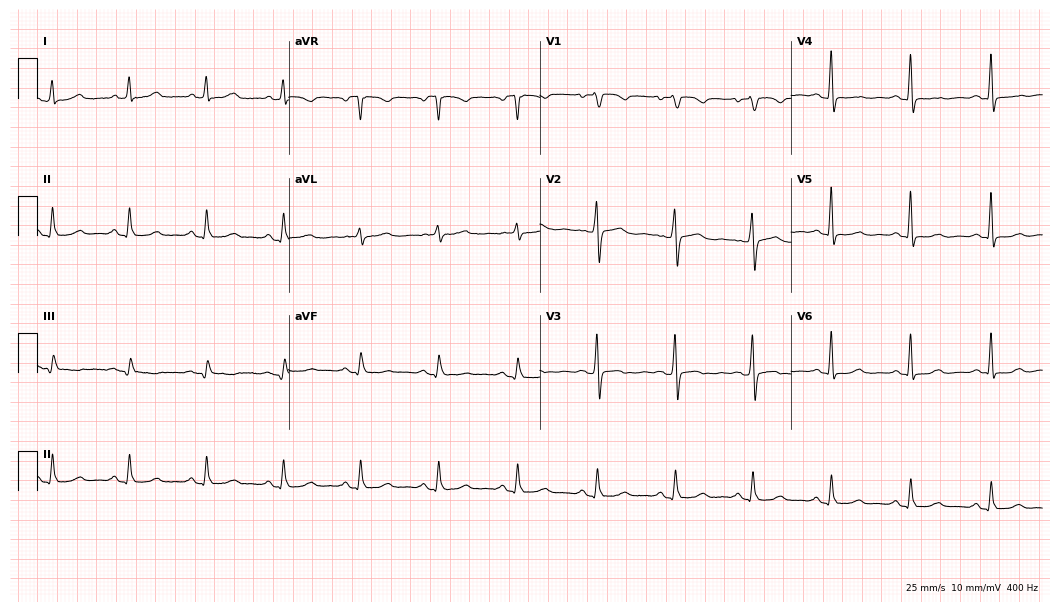
ECG — a 75-year-old female patient. Screened for six findings — first-degree AV block, right bundle branch block, left bundle branch block, sinus bradycardia, atrial fibrillation, sinus tachycardia — none is recorded. Only these six findings were labelled.